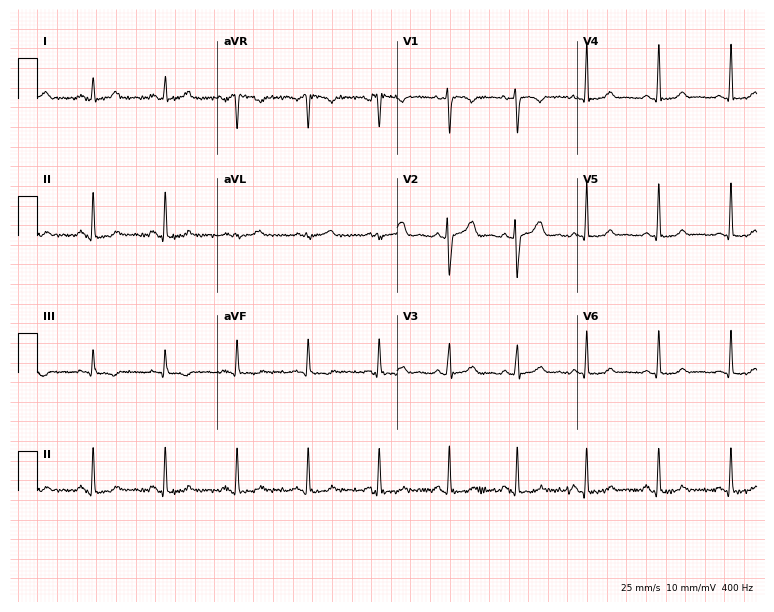
12-lead ECG from a female patient, 33 years old. Labelled as a normal ECG.